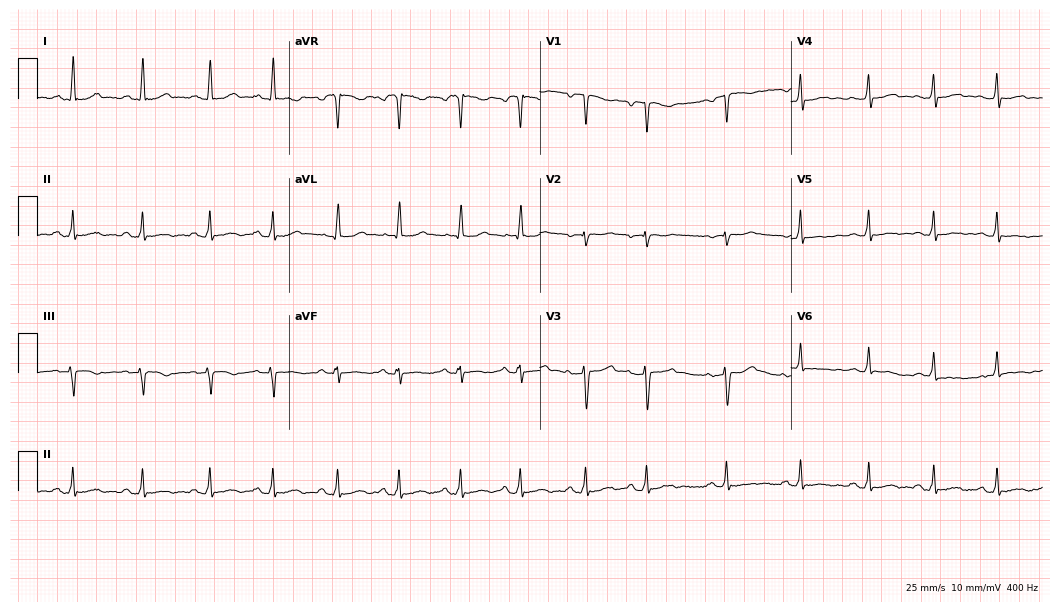
Standard 12-lead ECG recorded from a 37-year-old female (10.2-second recording at 400 Hz). None of these six findings is recorded: first-degree AV block, right bundle branch block (RBBB), left bundle branch block (LBBB), sinus bradycardia, atrial fibrillation (AF), sinus tachycardia.